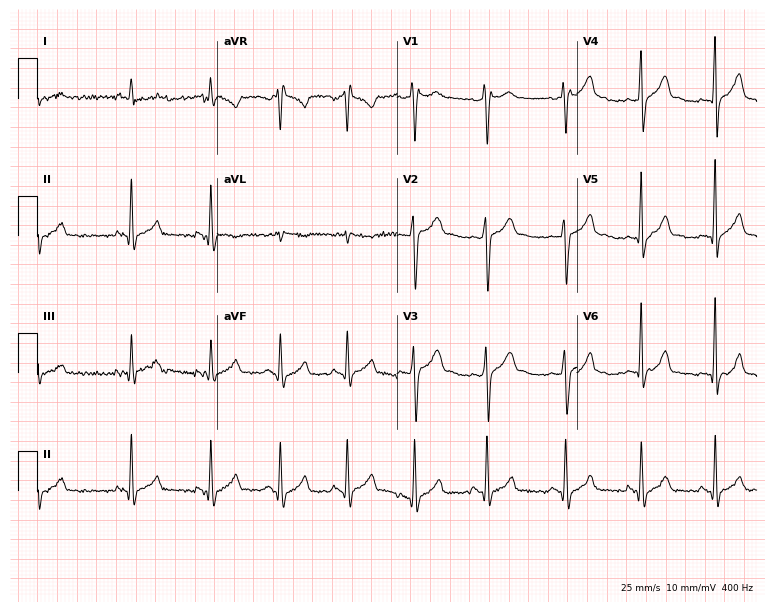
12-lead ECG from a male patient, 31 years old. No first-degree AV block, right bundle branch block (RBBB), left bundle branch block (LBBB), sinus bradycardia, atrial fibrillation (AF) or sinus tachycardia recorded for this tracing. Findings outside these six are not listed.